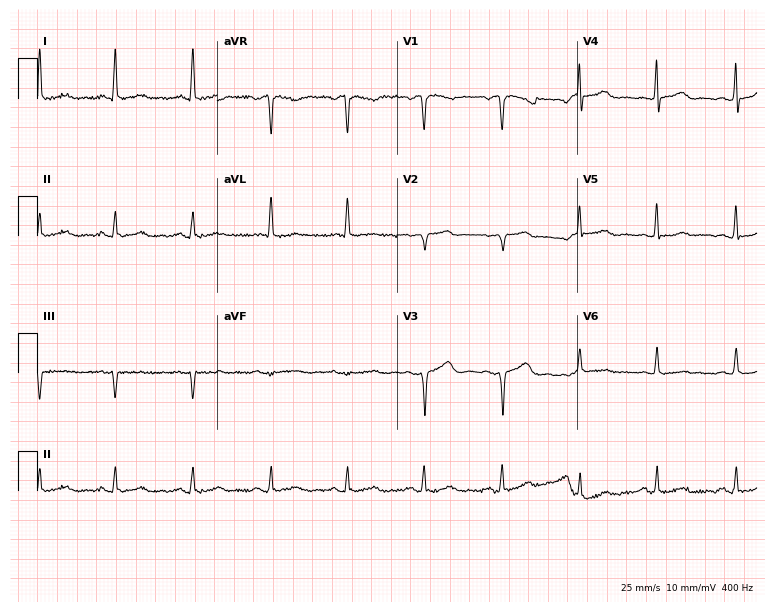
Electrocardiogram, a female patient, 63 years old. Overall reading on record: normal ECG.